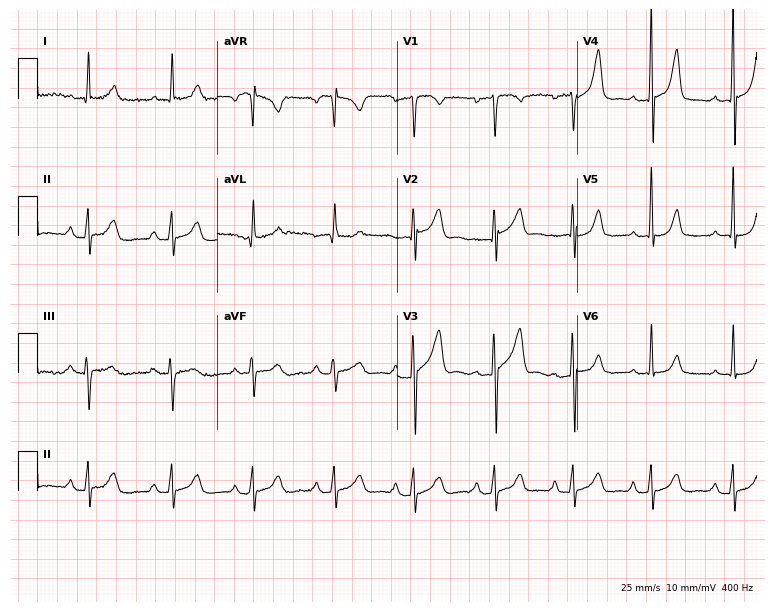
ECG — a female, 53 years old. Screened for six findings — first-degree AV block, right bundle branch block, left bundle branch block, sinus bradycardia, atrial fibrillation, sinus tachycardia — none is recorded.